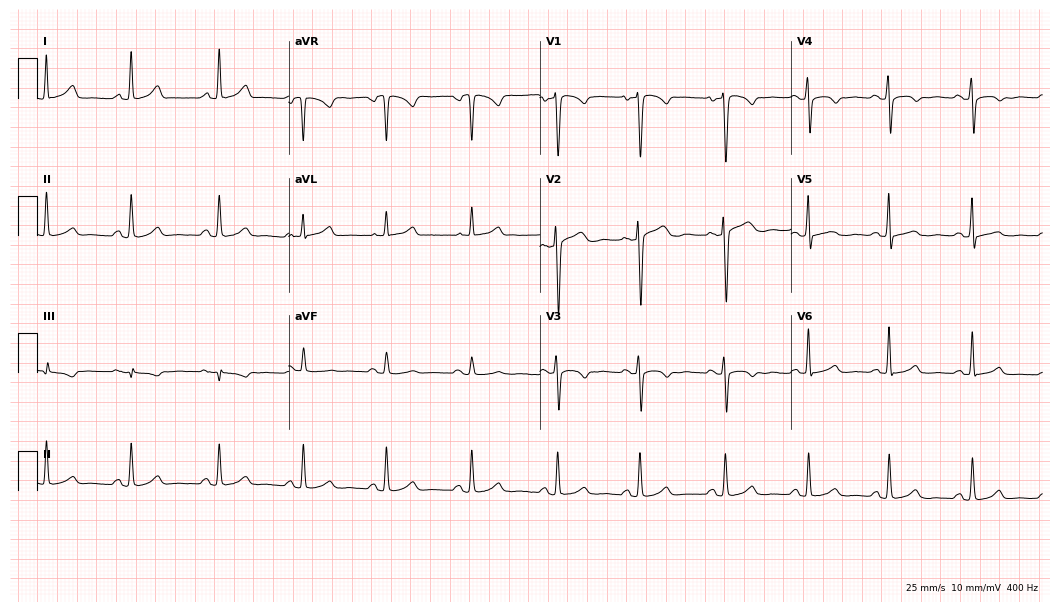
Resting 12-lead electrocardiogram. Patient: a 46-year-old female. None of these six findings is recorded: first-degree AV block, right bundle branch block (RBBB), left bundle branch block (LBBB), sinus bradycardia, atrial fibrillation (AF), sinus tachycardia. Findings outside these six are not listed.